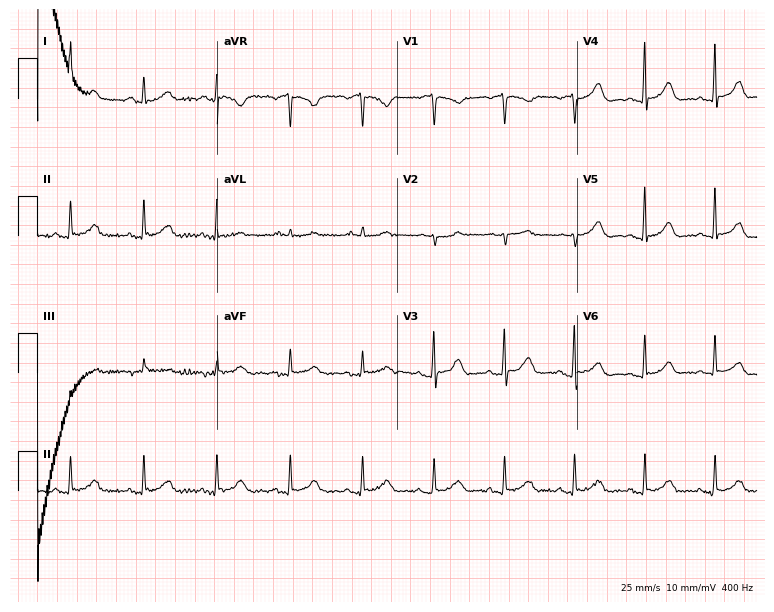
Standard 12-lead ECG recorded from a 67-year-old woman (7.3-second recording at 400 Hz). None of these six findings is recorded: first-degree AV block, right bundle branch block, left bundle branch block, sinus bradycardia, atrial fibrillation, sinus tachycardia.